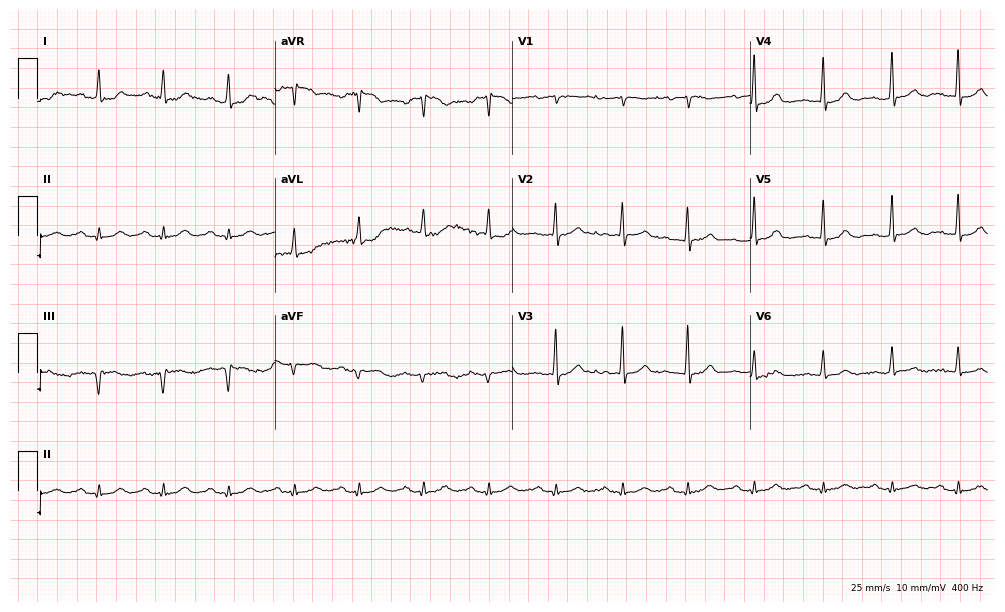
Electrocardiogram, an 84-year-old female patient. Overall reading on record: normal ECG.